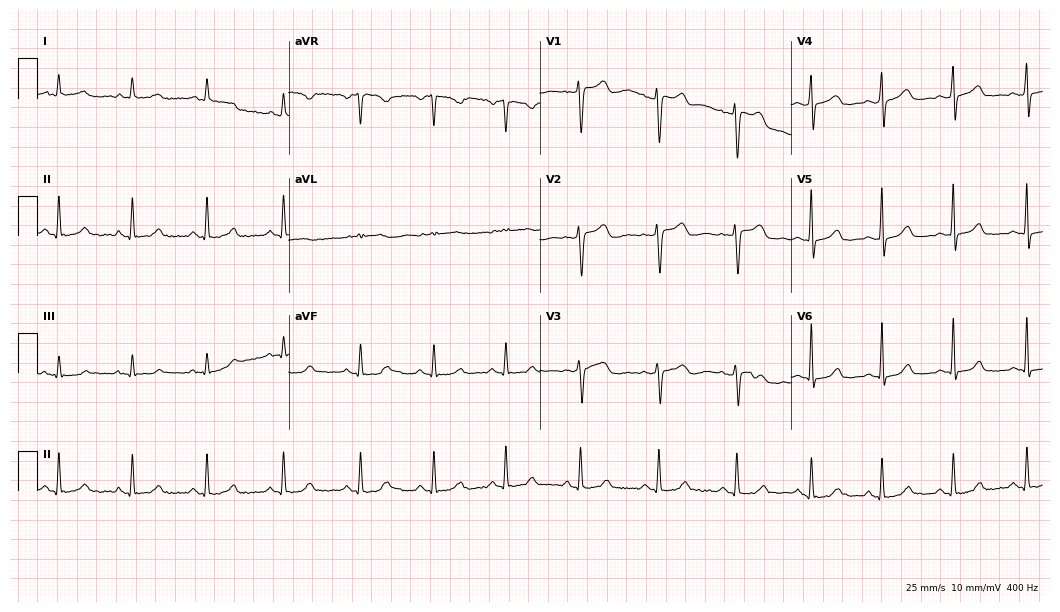
Electrocardiogram (10.2-second recording at 400 Hz), a 40-year-old female patient. Overall reading on record: normal ECG.